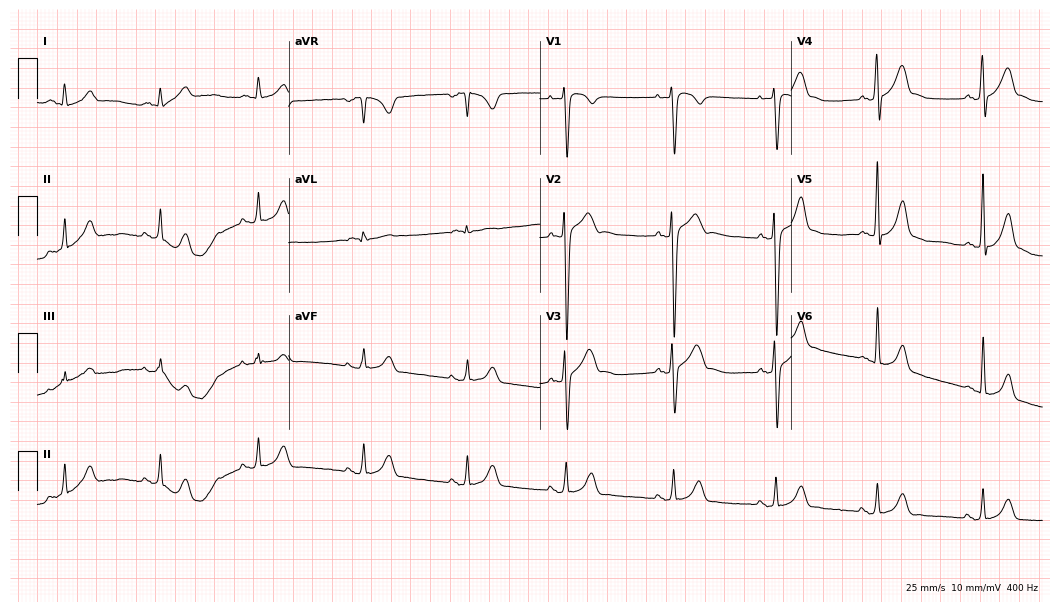
ECG (10.2-second recording at 400 Hz) — a male patient, 22 years old. Screened for six findings — first-degree AV block, right bundle branch block, left bundle branch block, sinus bradycardia, atrial fibrillation, sinus tachycardia — none is recorded.